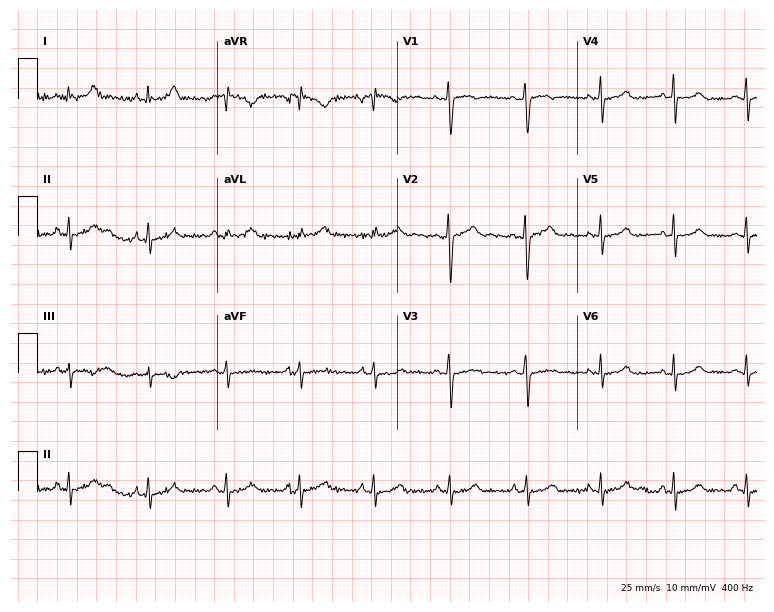
Standard 12-lead ECG recorded from an 18-year-old female patient. Read as a normal ECG.